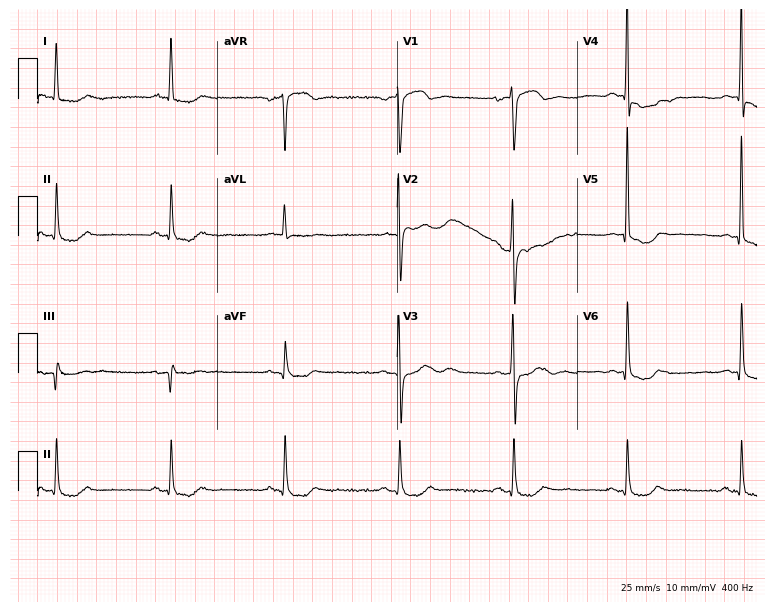
12-lead ECG from a man, 81 years old. Screened for six findings — first-degree AV block, right bundle branch block (RBBB), left bundle branch block (LBBB), sinus bradycardia, atrial fibrillation (AF), sinus tachycardia — none is recorded.